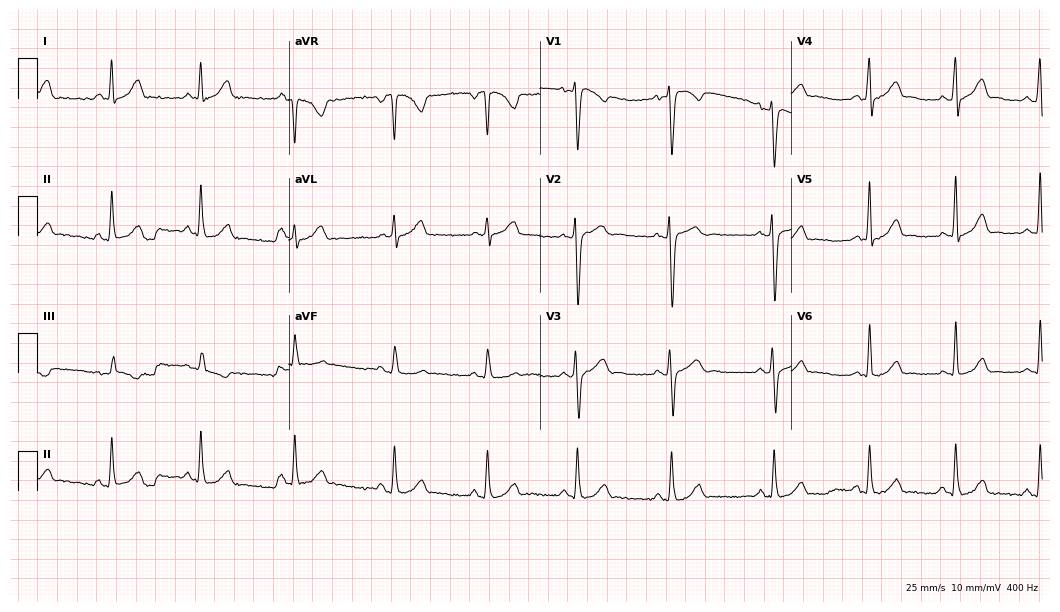
12-lead ECG from a female, 23 years old (10.2-second recording at 400 Hz). Recorded interpretation: within normal limits.